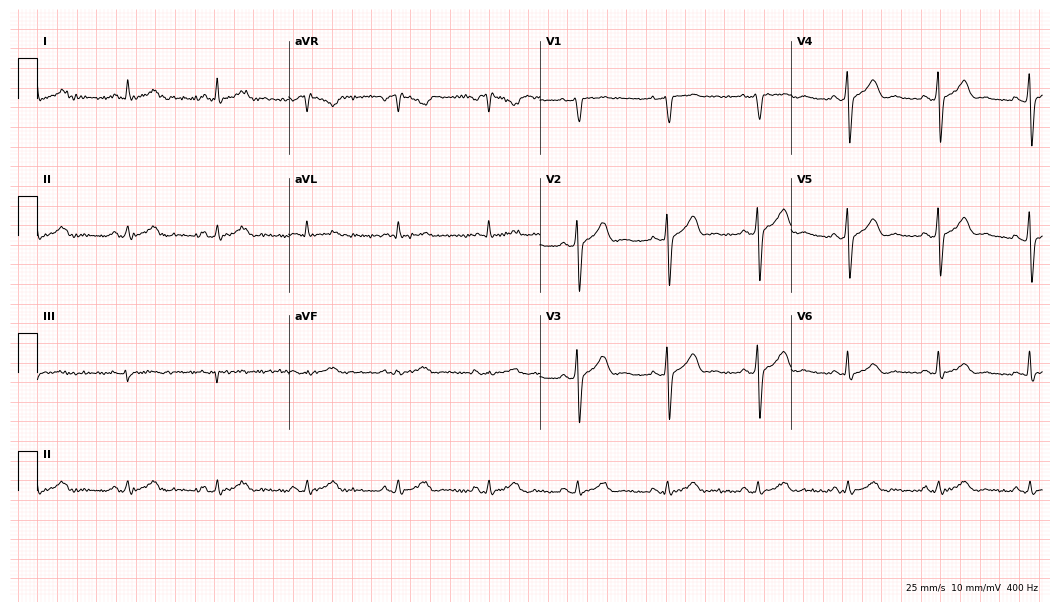
Resting 12-lead electrocardiogram. Patient: a 65-year-old male. None of these six findings is recorded: first-degree AV block, right bundle branch block (RBBB), left bundle branch block (LBBB), sinus bradycardia, atrial fibrillation (AF), sinus tachycardia.